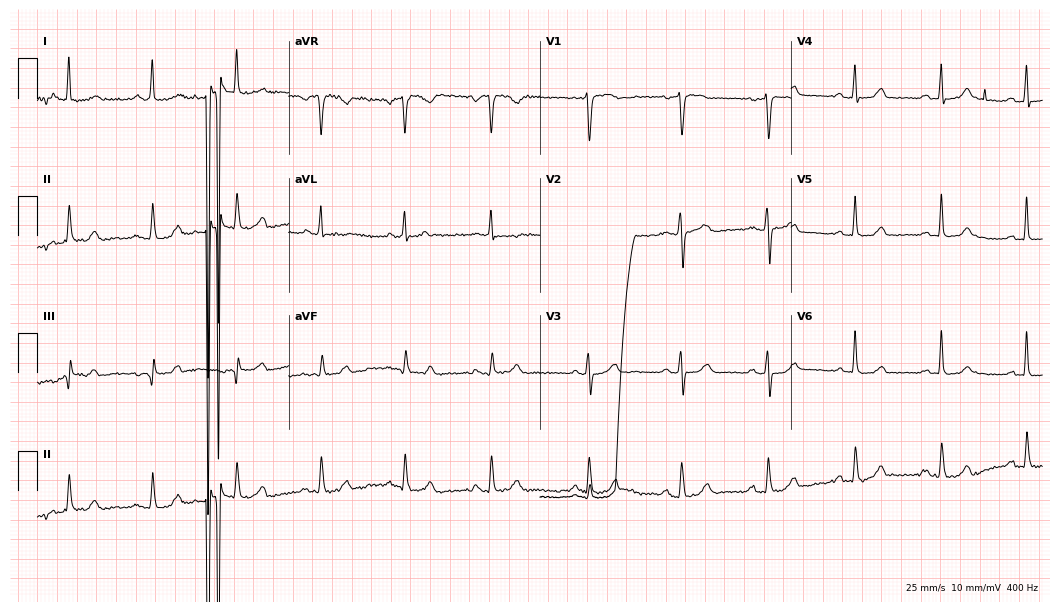
Electrocardiogram, a 74-year-old female. Interpretation includes left bundle branch block (LBBB).